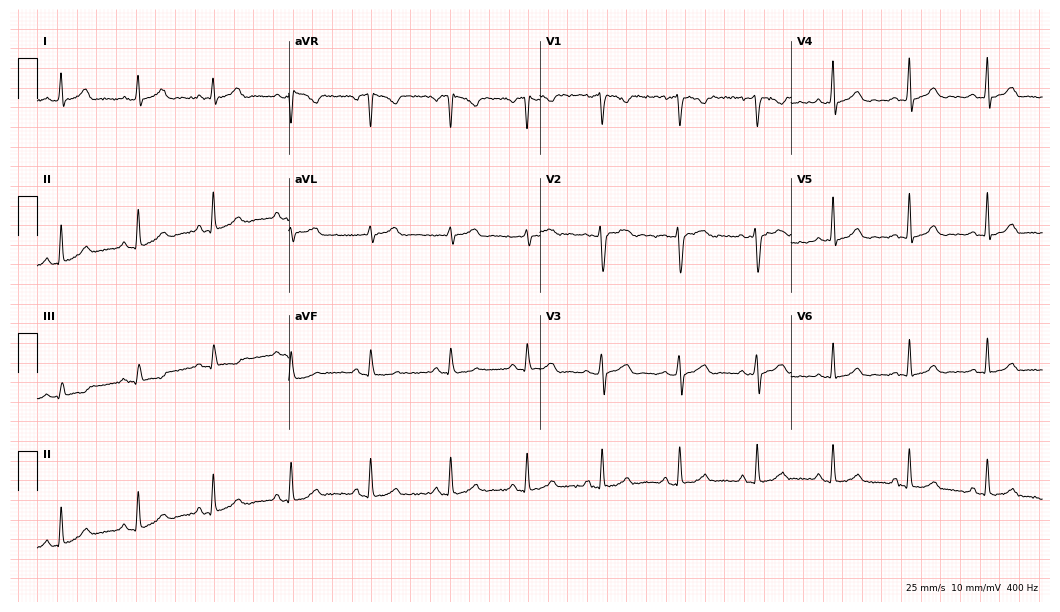
Standard 12-lead ECG recorded from a female patient, 38 years old (10.2-second recording at 400 Hz). Read as a normal ECG.